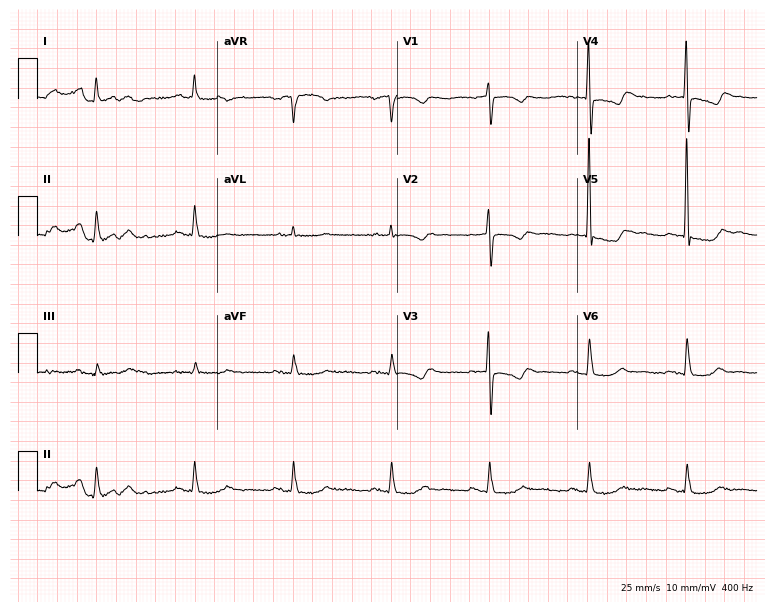
12-lead ECG (7.3-second recording at 400 Hz) from a female patient, 83 years old. Screened for six findings — first-degree AV block, right bundle branch block (RBBB), left bundle branch block (LBBB), sinus bradycardia, atrial fibrillation (AF), sinus tachycardia — none is recorded.